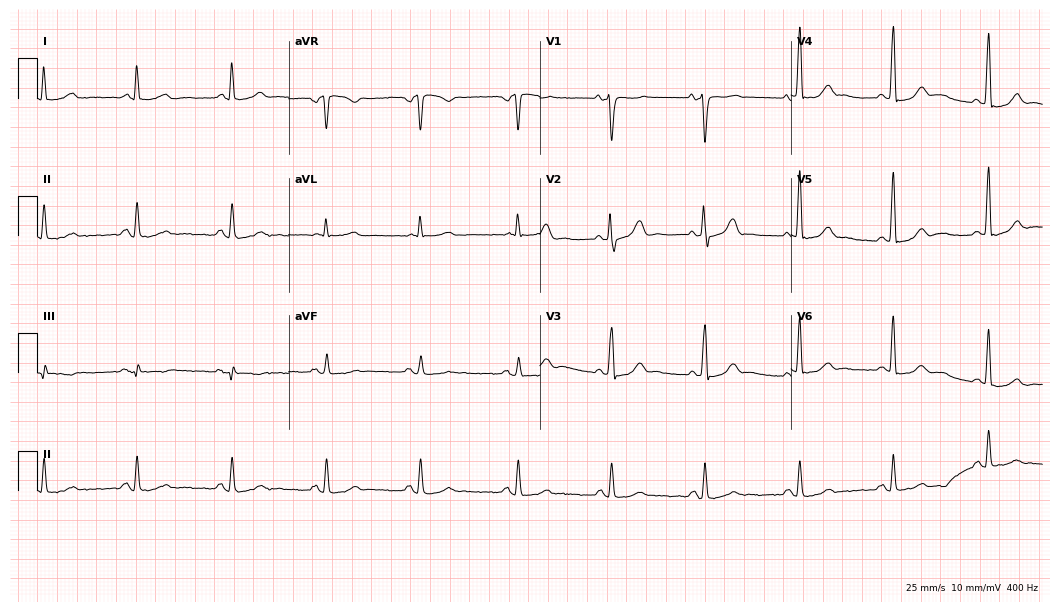
Standard 12-lead ECG recorded from a 64-year-old female patient (10.2-second recording at 400 Hz). Read as a normal ECG.